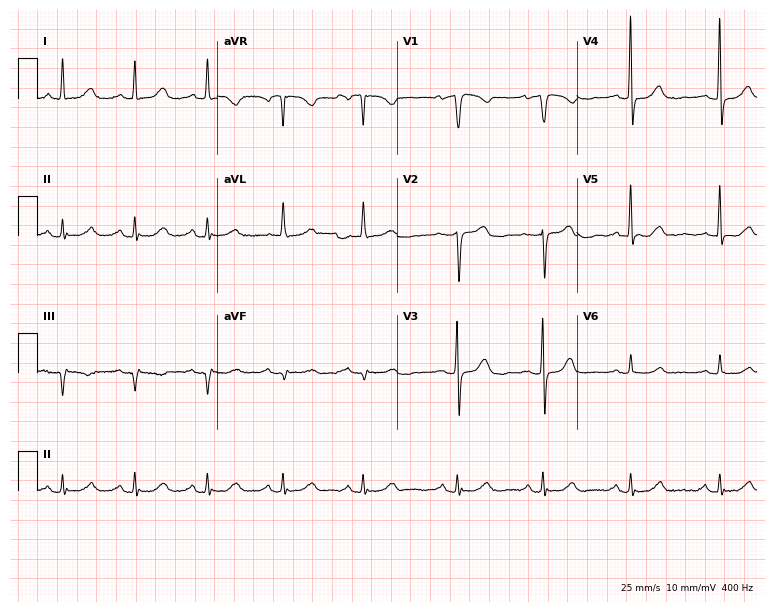
12-lead ECG from a female, 82 years old. Recorded interpretation: within normal limits.